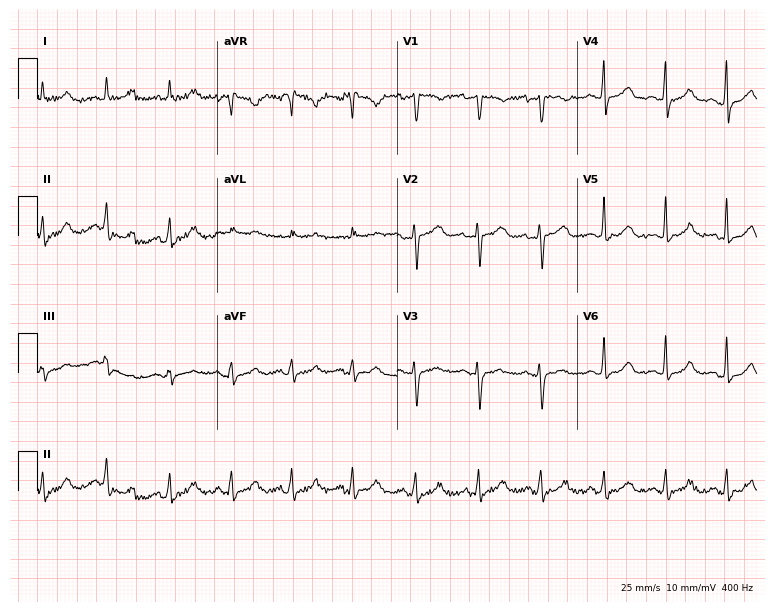
Standard 12-lead ECG recorded from a 30-year-old female. None of these six findings is recorded: first-degree AV block, right bundle branch block (RBBB), left bundle branch block (LBBB), sinus bradycardia, atrial fibrillation (AF), sinus tachycardia.